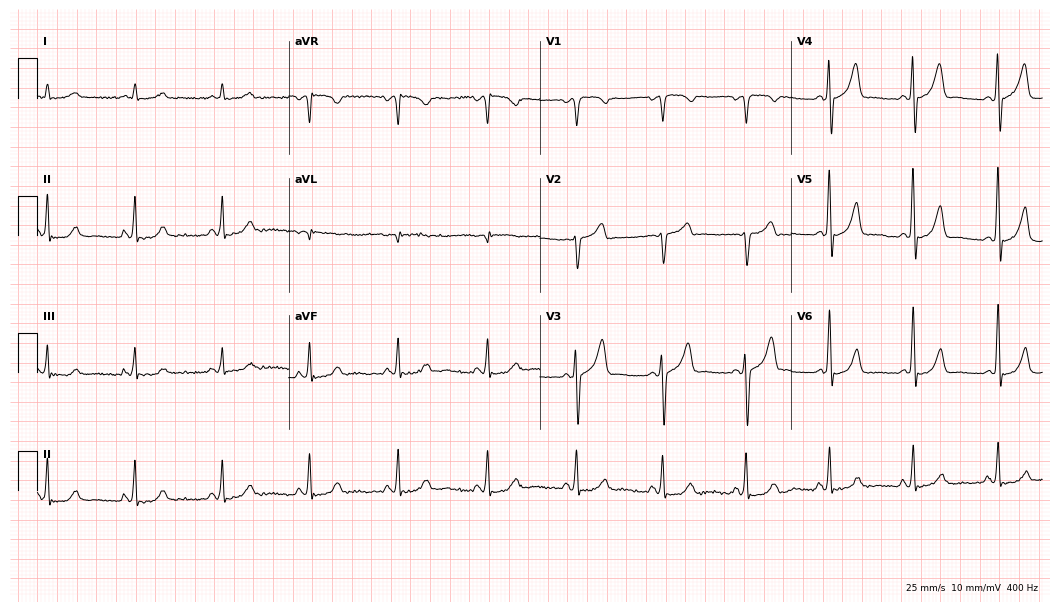
Electrocardiogram (10.2-second recording at 400 Hz), a male, 67 years old. Of the six screened findings (first-degree AV block, right bundle branch block (RBBB), left bundle branch block (LBBB), sinus bradycardia, atrial fibrillation (AF), sinus tachycardia), none is recorded. Other findings, if any, are not listed.